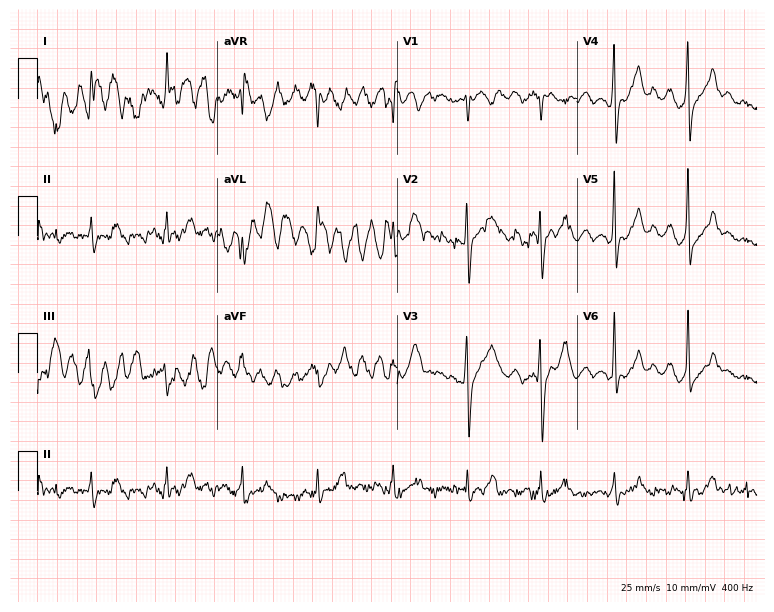
12-lead ECG (7.3-second recording at 400 Hz) from a 50-year-old male. Screened for six findings — first-degree AV block, right bundle branch block, left bundle branch block, sinus bradycardia, atrial fibrillation, sinus tachycardia — none is recorded. Other findings, if any, are not listed.